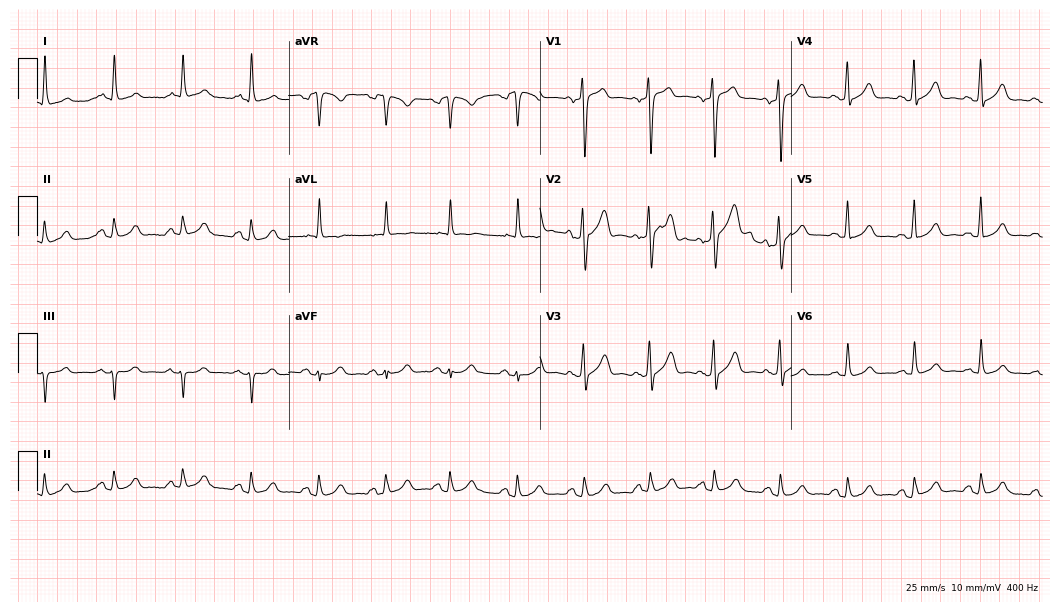
12-lead ECG from a 57-year-old female patient. Labelled as a normal ECG.